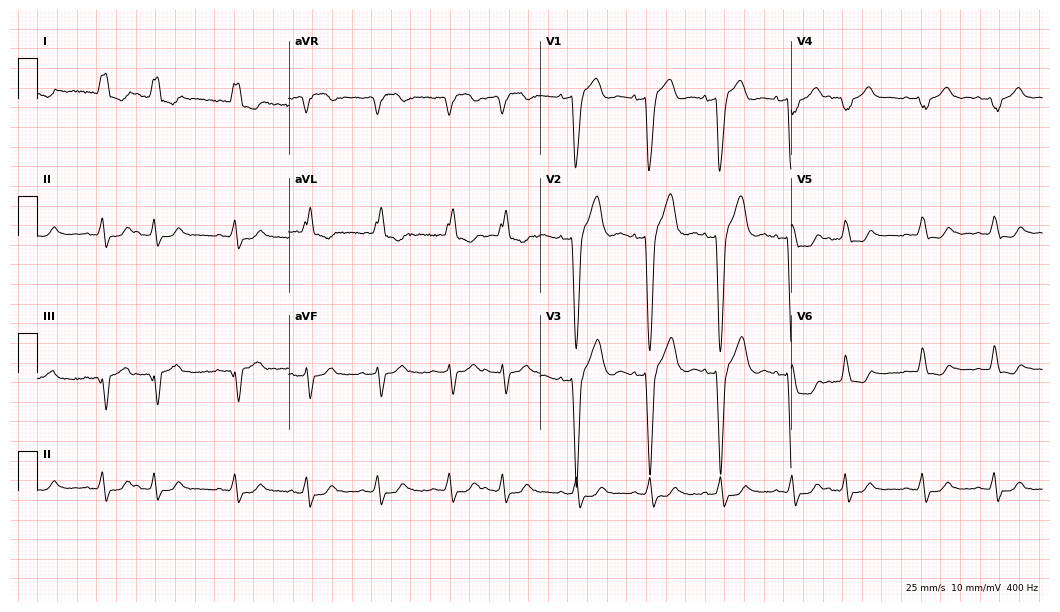
Electrocardiogram (10.2-second recording at 400 Hz), an 81-year-old woman. Interpretation includes left bundle branch block (LBBB).